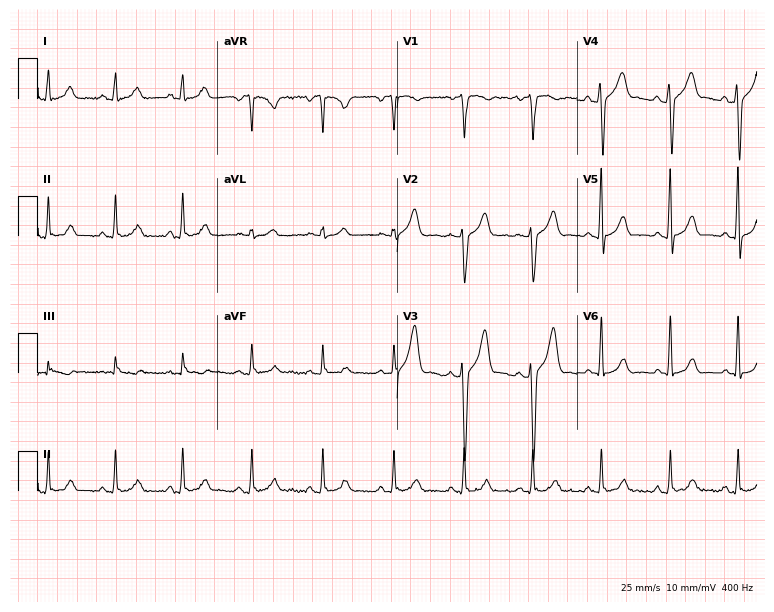
ECG — a male, 33 years old. Screened for six findings — first-degree AV block, right bundle branch block (RBBB), left bundle branch block (LBBB), sinus bradycardia, atrial fibrillation (AF), sinus tachycardia — none is recorded. Only these six findings were labelled.